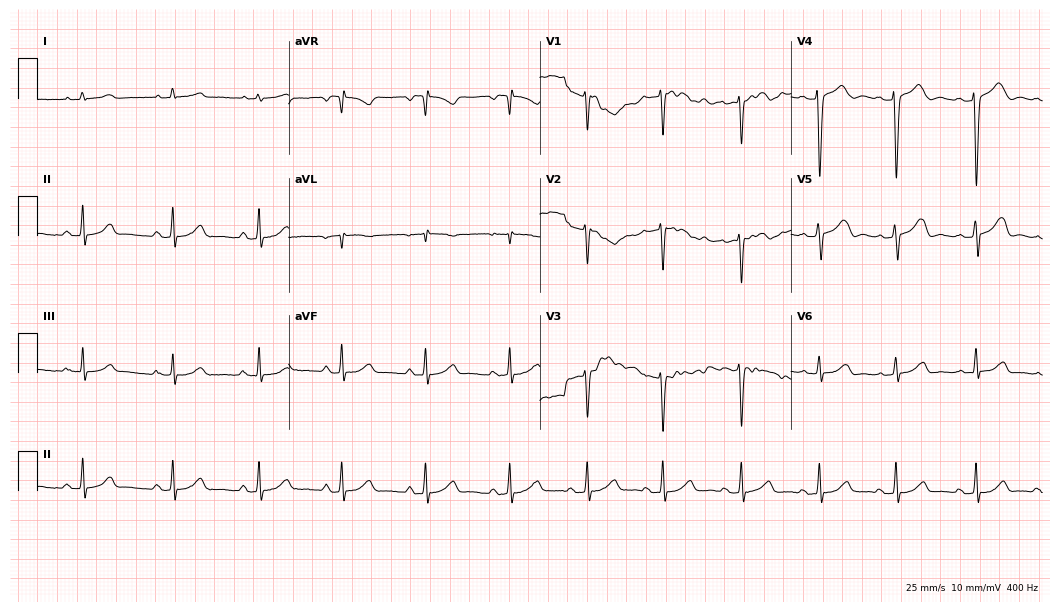
Resting 12-lead electrocardiogram. Patient: a woman, 28 years old. Read as a normal ECG.